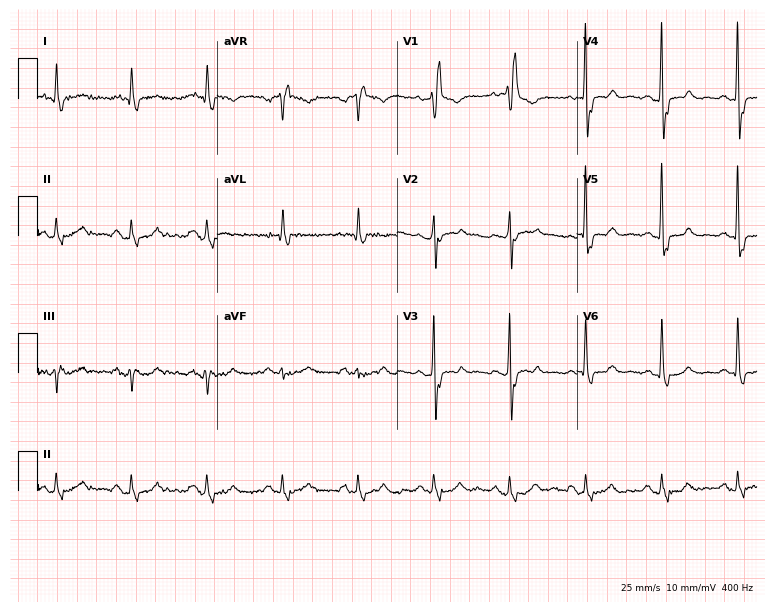
12-lead ECG from a man, 77 years old. Findings include right bundle branch block (RBBB).